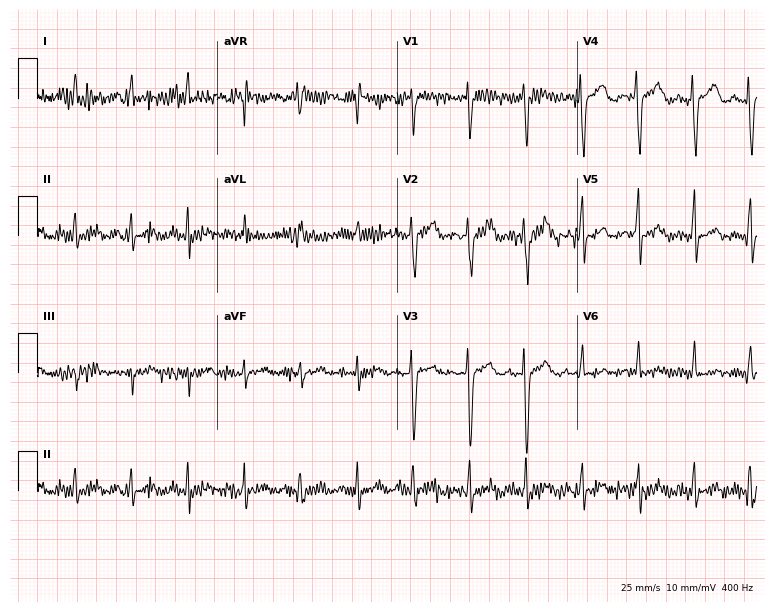
Standard 12-lead ECG recorded from a 54-year-old female patient (7.3-second recording at 400 Hz). None of these six findings is recorded: first-degree AV block, right bundle branch block (RBBB), left bundle branch block (LBBB), sinus bradycardia, atrial fibrillation (AF), sinus tachycardia. Only these six findings were labelled.